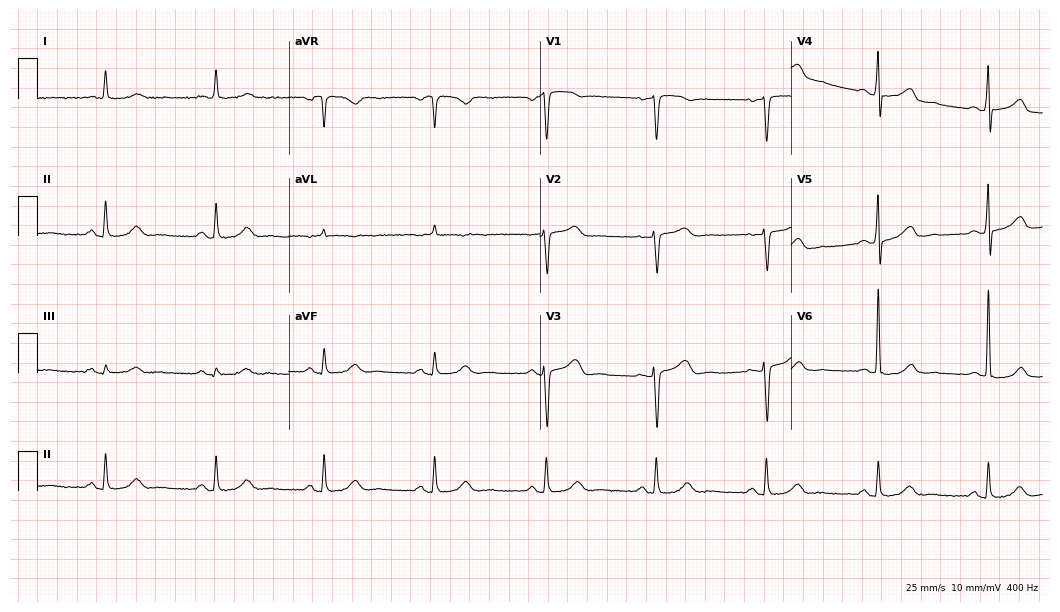
Standard 12-lead ECG recorded from an 82-year-old male patient (10.2-second recording at 400 Hz). Read as a normal ECG.